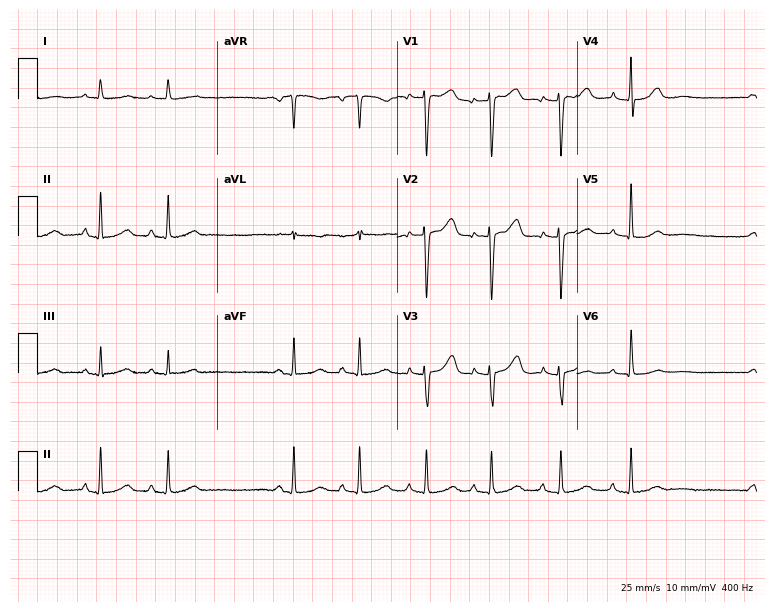
12-lead ECG (7.3-second recording at 400 Hz) from a female patient, 47 years old. Screened for six findings — first-degree AV block, right bundle branch block, left bundle branch block, sinus bradycardia, atrial fibrillation, sinus tachycardia — none is recorded.